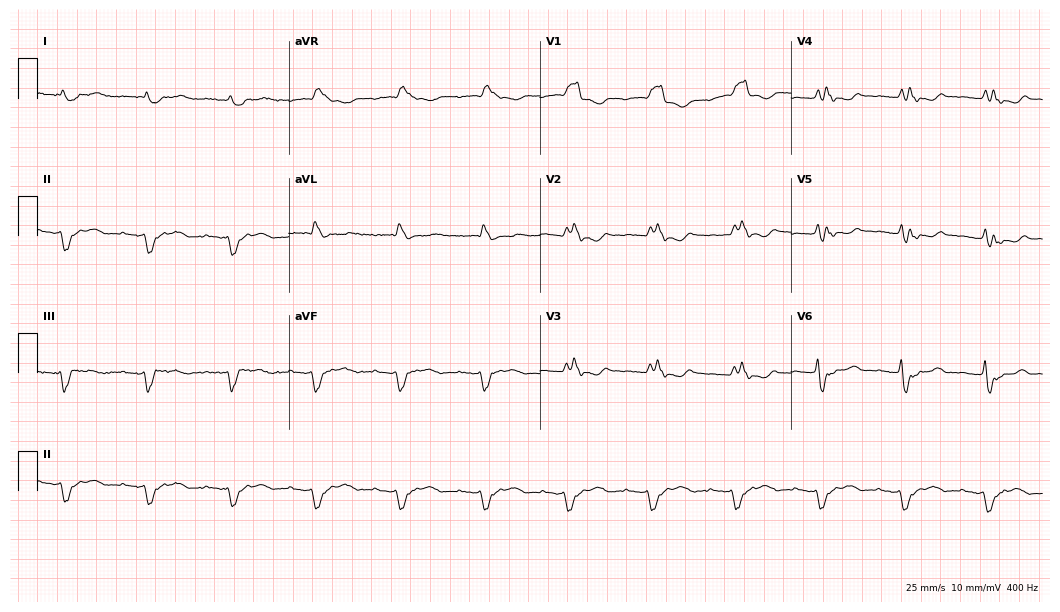
12-lead ECG from an 81-year-old male. Shows first-degree AV block, right bundle branch block.